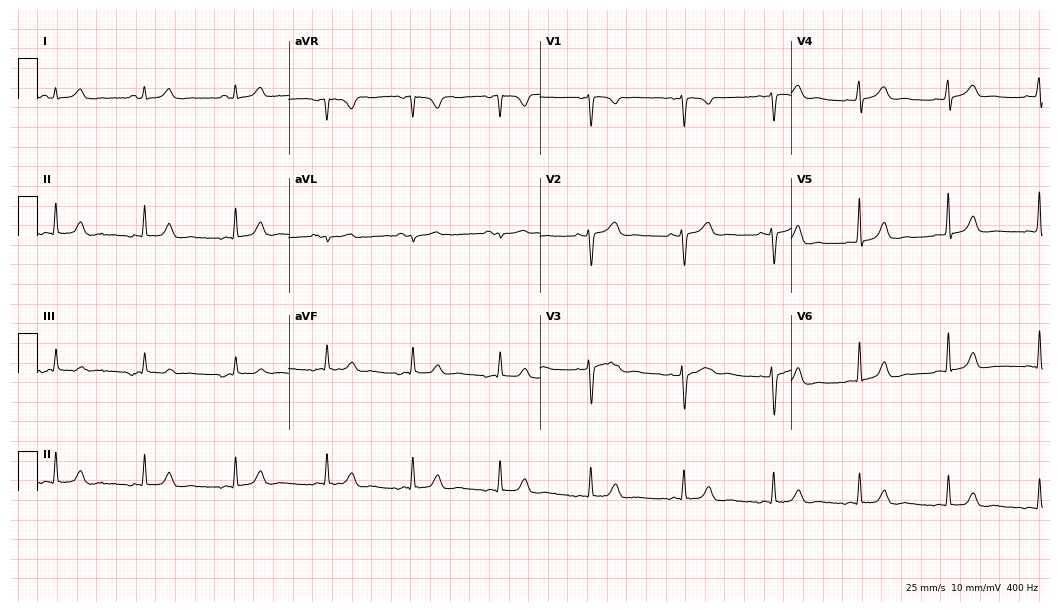
ECG (10.2-second recording at 400 Hz) — a 28-year-old woman. Labelled as a normal ECG.